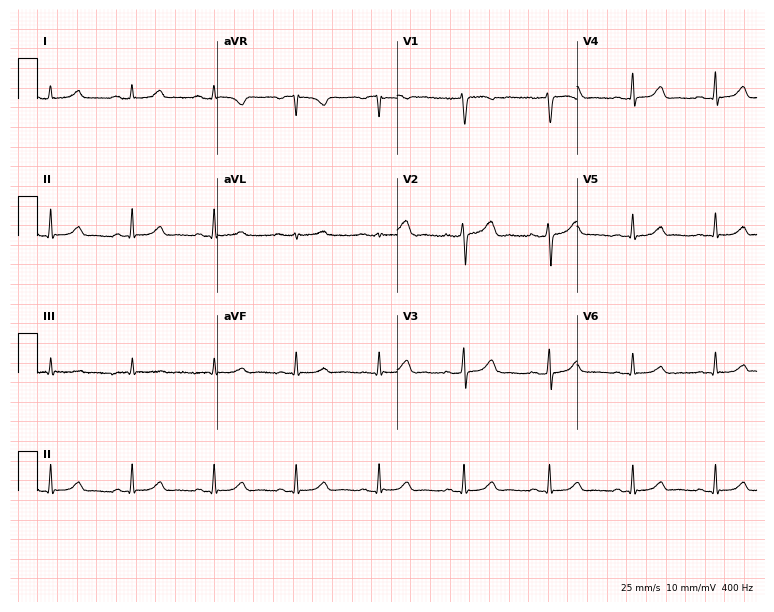
12-lead ECG from a female, 42 years old. Recorded interpretation: within normal limits.